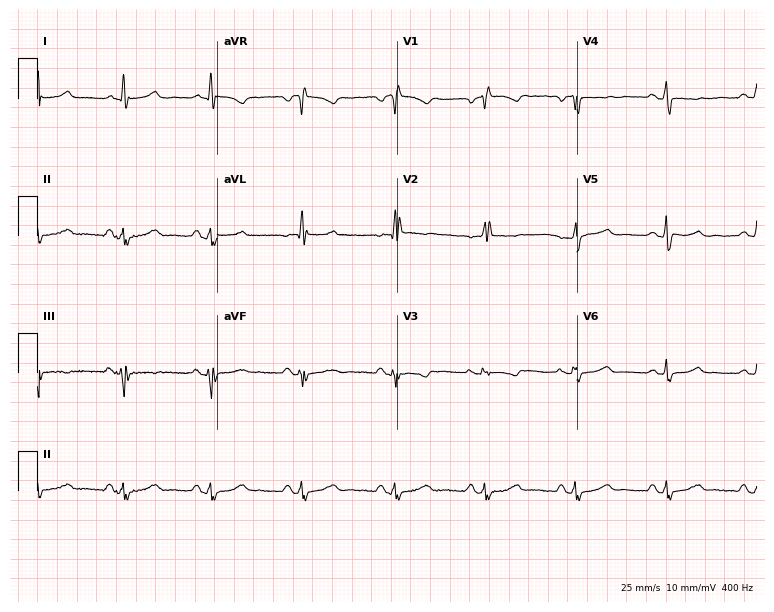
Electrocardiogram, a woman, 71 years old. Of the six screened findings (first-degree AV block, right bundle branch block (RBBB), left bundle branch block (LBBB), sinus bradycardia, atrial fibrillation (AF), sinus tachycardia), none is recorded. Only these six findings were labelled.